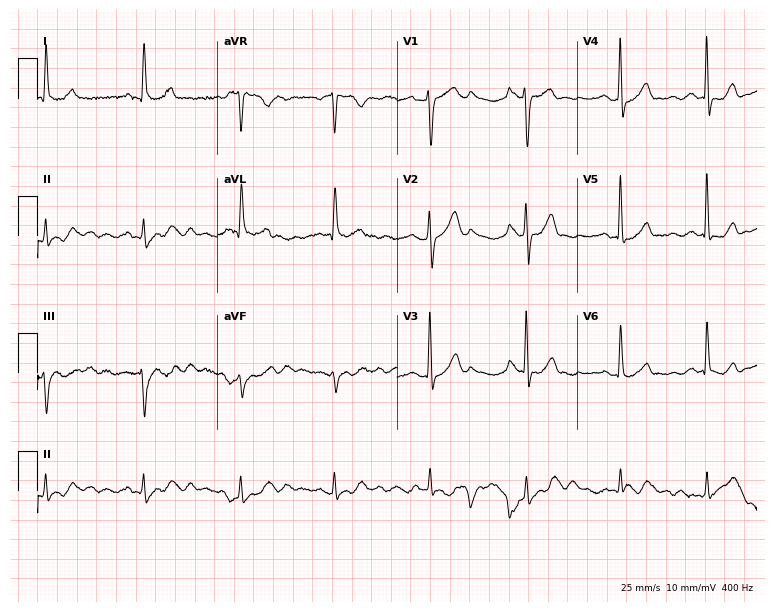
12-lead ECG from a 73-year-old man. Labelled as a normal ECG.